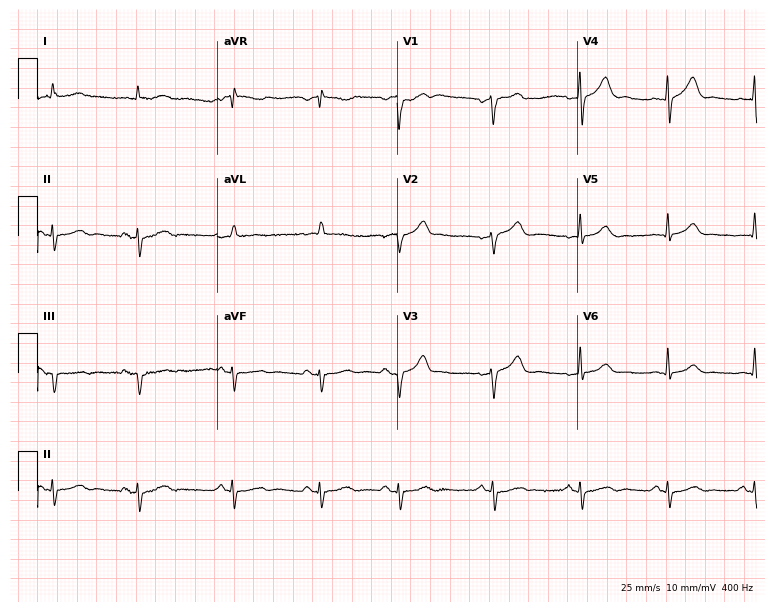
Electrocardiogram, an 82-year-old male. Of the six screened findings (first-degree AV block, right bundle branch block, left bundle branch block, sinus bradycardia, atrial fibrillation, sinus tachycardia), none is recorded. Other findings, if any, are not listed.